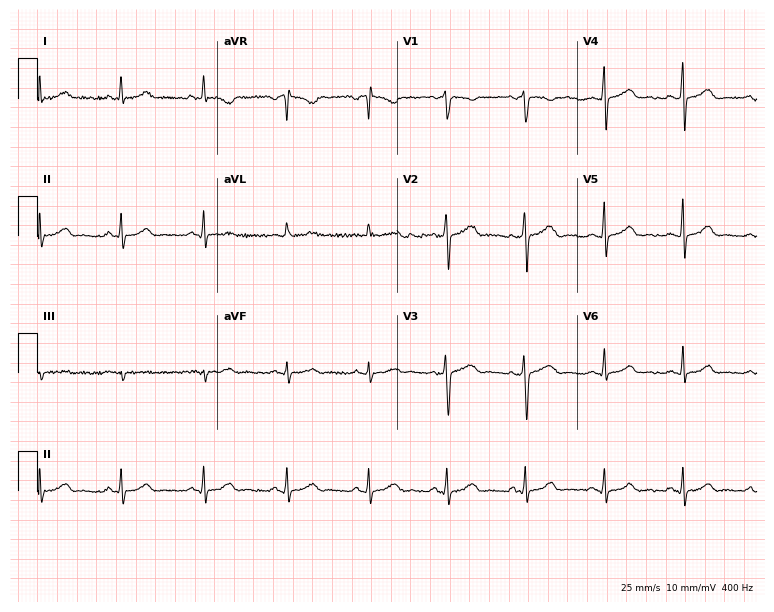
Resting 12-lead electrocardiogram. Patient: a 39-year-old female. None of these six findings is recorded: first-degree AV block, right bundle branch block, left bundle branch block, sinus bradycardia, atrial fibrillation, sinus tachycardia. Other findings, if any, are not listed.